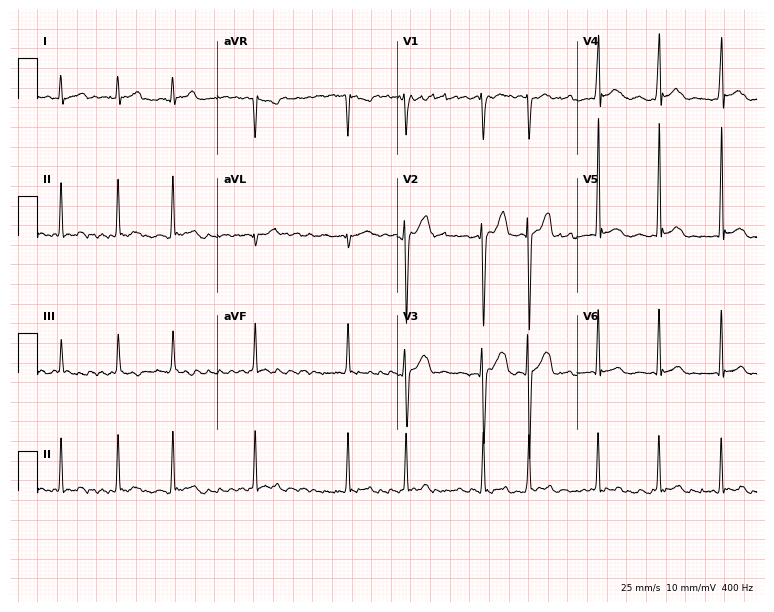
Resting 12-lead electrocardiogram (7.3-second recording at 400 Hz). Patient: a male, 25 years old. The tracing shows atrial fibrillation.